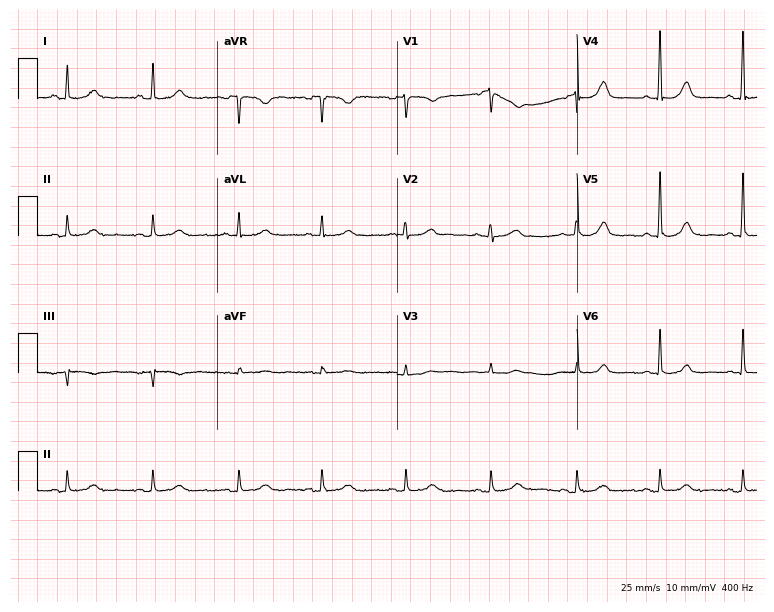
ECG (7.3-second recording at 400 Hz) — a female, 76 years old. Screened for six findings — first-degree AV block, right bundle branch block, left bundle branch block, sinus bradycardia, atrial fibrillation, sinus tachycardia — none is recorded. Findings outside these six are not listed.